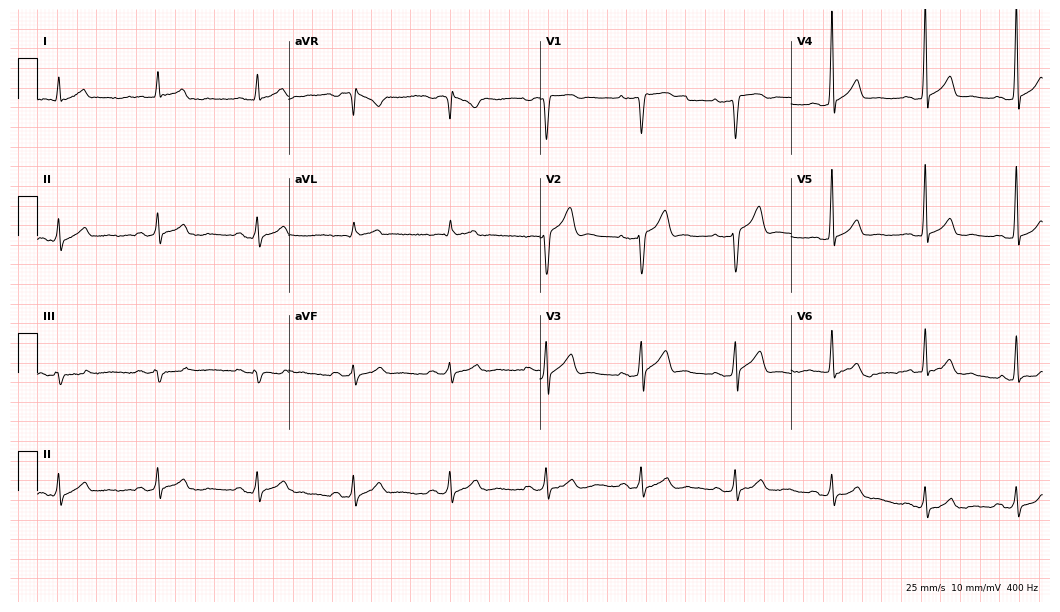
12-lead ECG (10.2-second recording at 400 Hz) from a 45-year-old man. Labelled as a normal ECG.